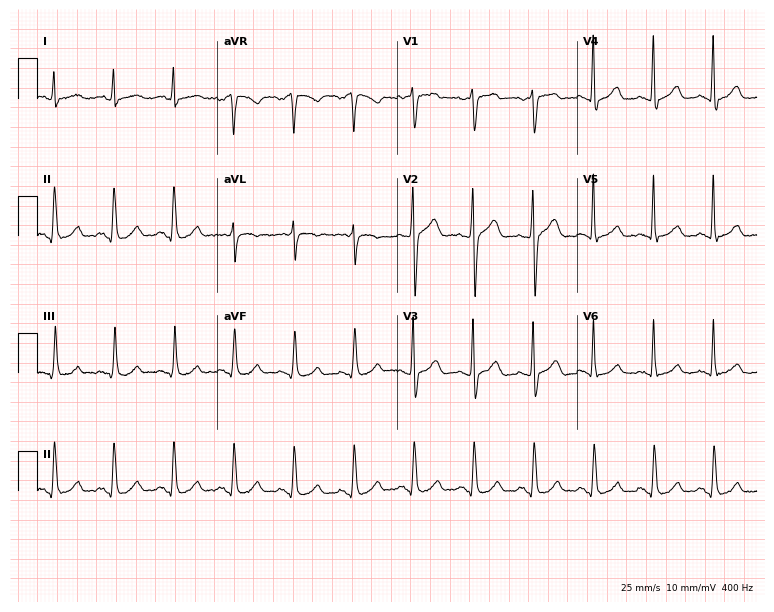
ECG — a 52-year-old female patient. Screened for six findings — first-degree AV block, right bundle branch block, left bundle branch block, sinus bradycardia, atrial fibrillation, sinus tachycardia — none is recorded. Other findings, if any, are not listed.